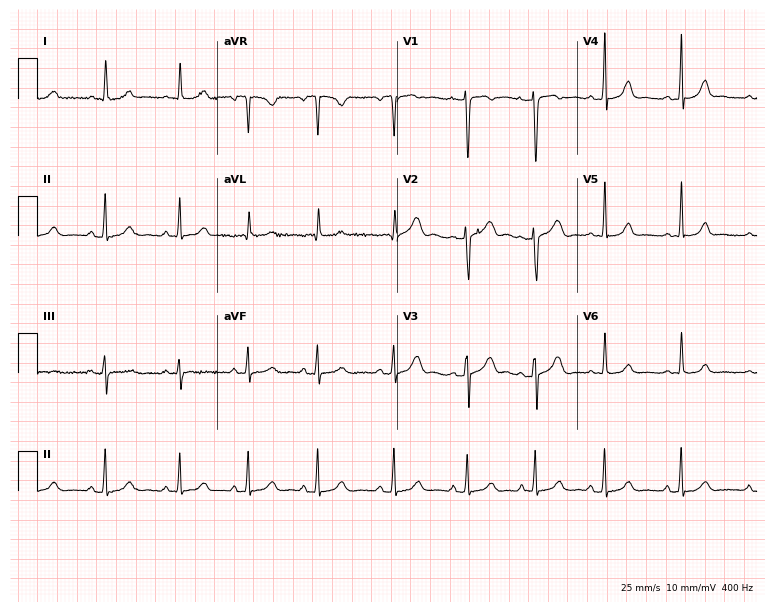
12-lead ECG (7.3-second recording at 400 Hz) from a woman, 21 years old. Labelled as a normal ECG.